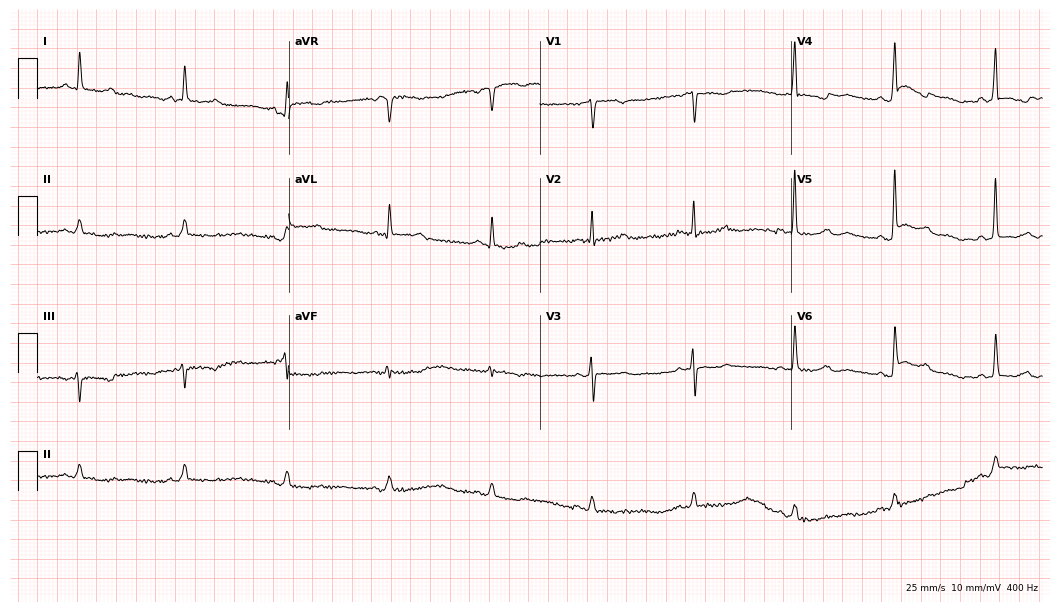
Resting 12-lead electrocardiogram (10.2-second recording at 400 Hz). Patient: a female, 65 years old. Read as a normal ECG.